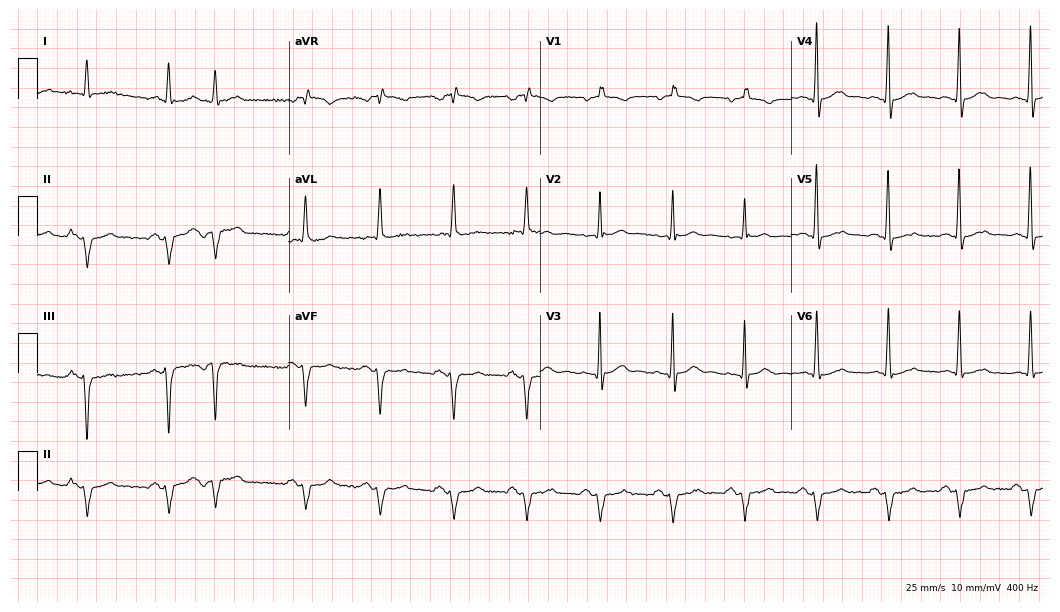
ECG (10.2-second recording at 400 Hz) — a 72-year-old man. Screened for six findings — first-degree AV block, right bundle branch block (RBBB), left bundle branch block (LBBB), sinus bradycardia, atrial fibrillation (AF), sinus tachycardia — none is recorded.